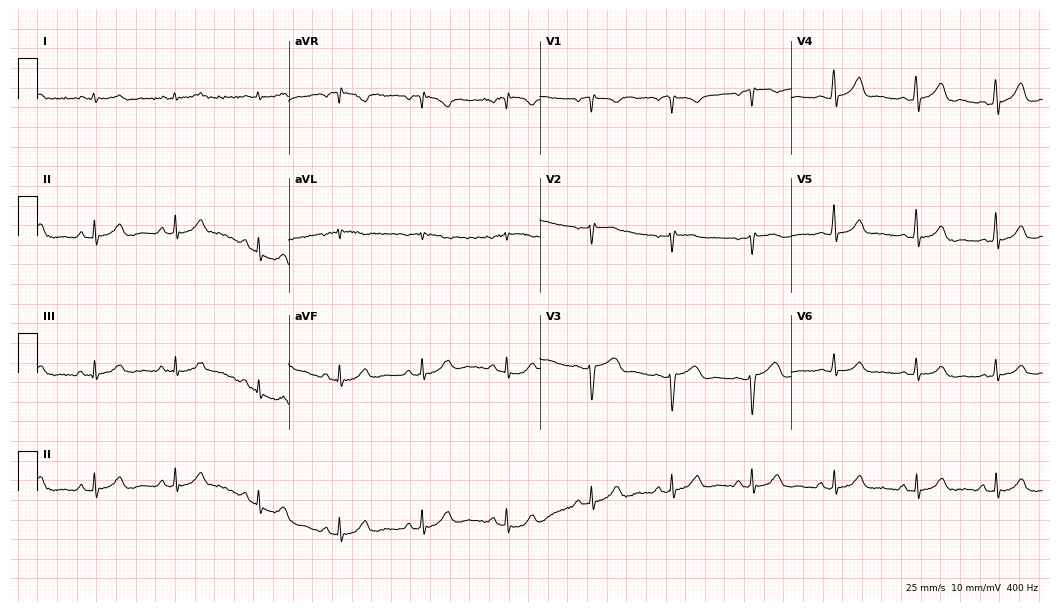
12-lead ECG from a female patient, 55 years old. Screened for six findings — first-degree AV block, right bundle branch block, left bundle branch block, sinus bradycardia, atrial fibrillation, sinus tachycardia — none is recorded. Only these six findings were labelled.